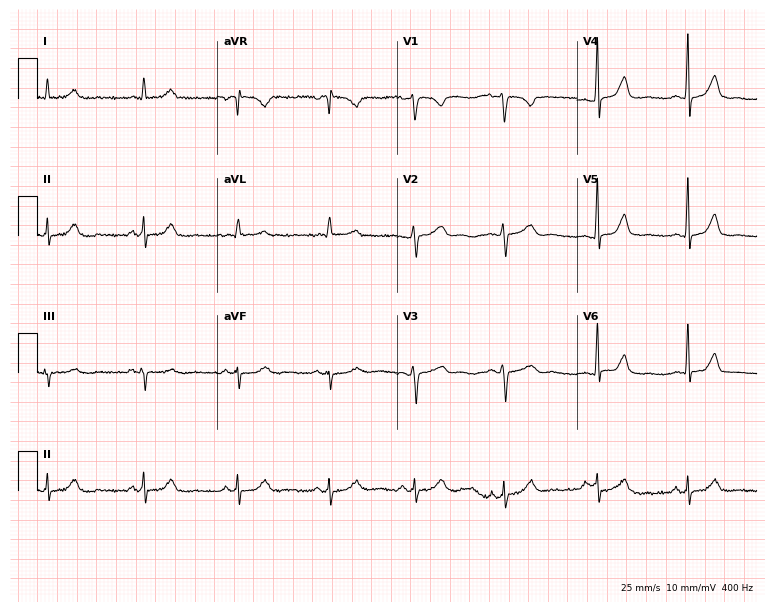
12-lead ECG (7.3-second recording at 400 Hz) from a 51-year-old woman. Screened for six findings — first-degree AV block, right bundle branch block, left bundle branch block, sinus bradycardia, atrial fibrillation, sinus tachycardia — none is recorded.